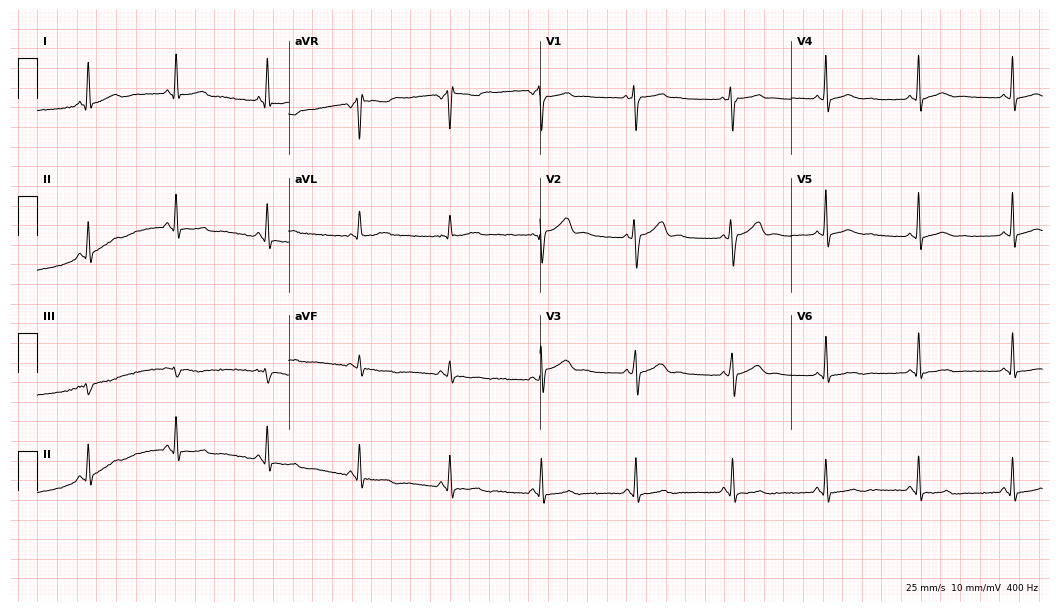
12-lead ECG from a woman, 29 years old. Screened for six findings — first-degree AV block, right bundle branch block (RBBB), left bundle branch block (LBBB), sinus bradycardia, atrial fibrillation (AF), sinus tachycardia — none is recorded.